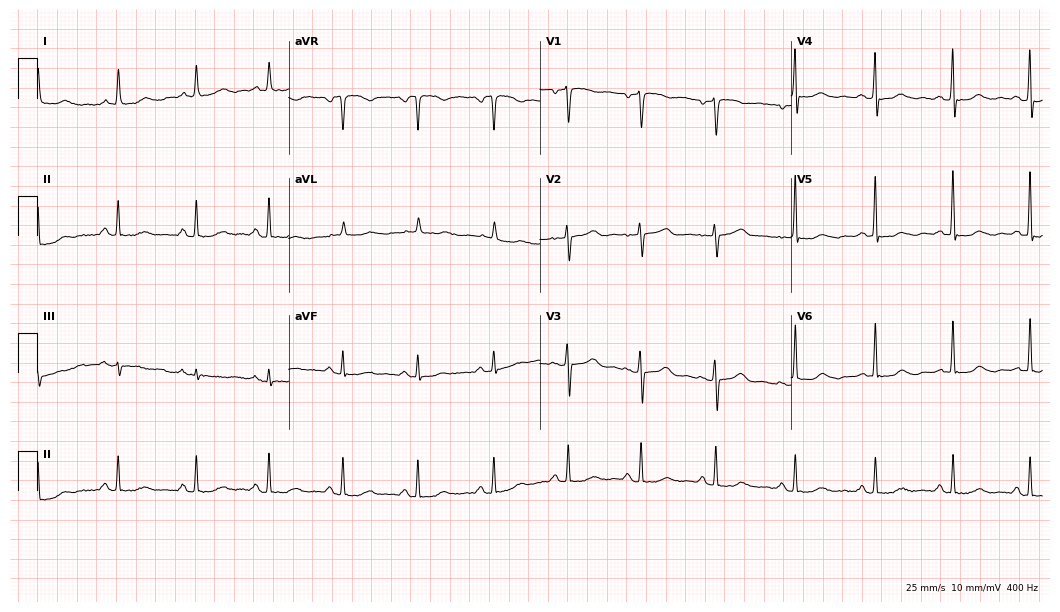
Resting 12-lead electrocardiogram. Patient: a female, 63 years old. None of these six findings is recorded: first-degree AV block, right bundle branch block, left bundle branch block, sinus bradycardia, atrial fibrillation, sinus tachycardia.